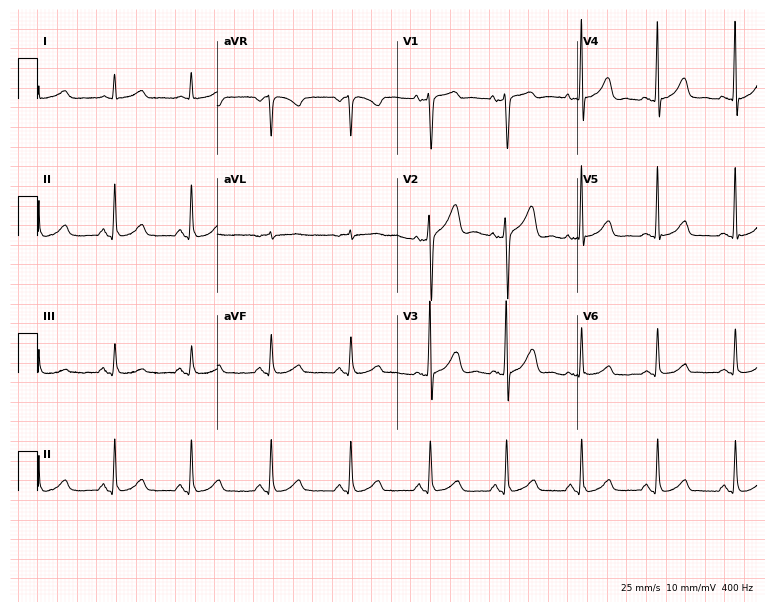
ECG — a female patient, 54 years old. Labelled as a normal ECG.